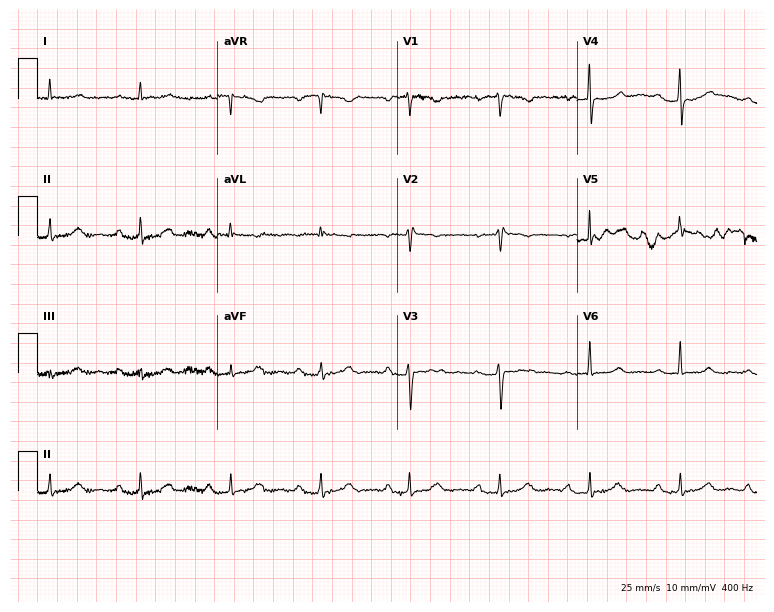
Electrocardiogram (7.3-second recording at 400 Hz), a 57-year-old female. Interpretation includes first-degree AV block.